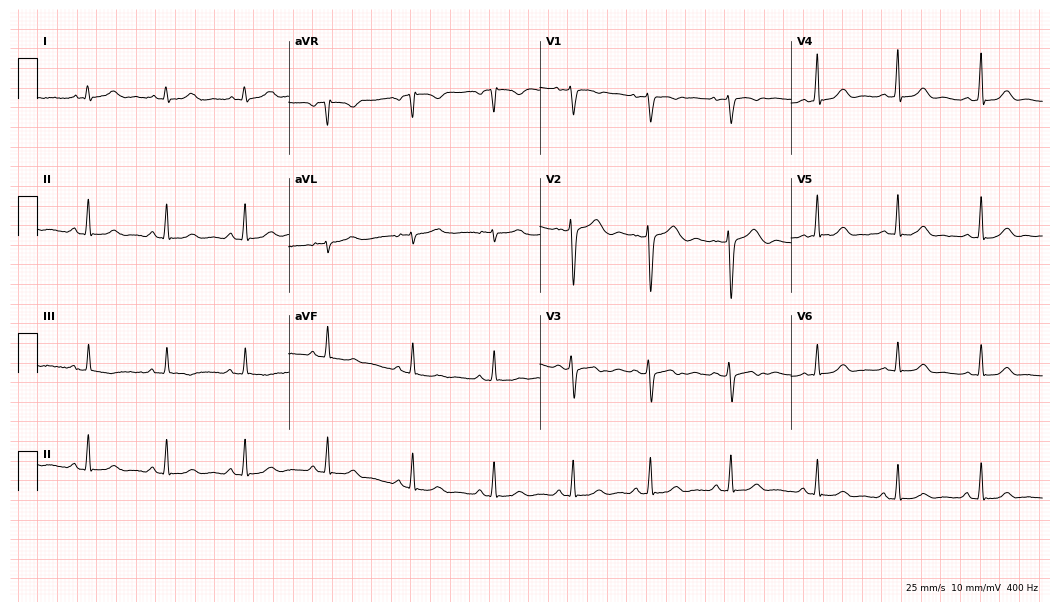
Resting 12-lead electrocardiogram. Patient: a female, 30 years old. Read as a normal ECG.